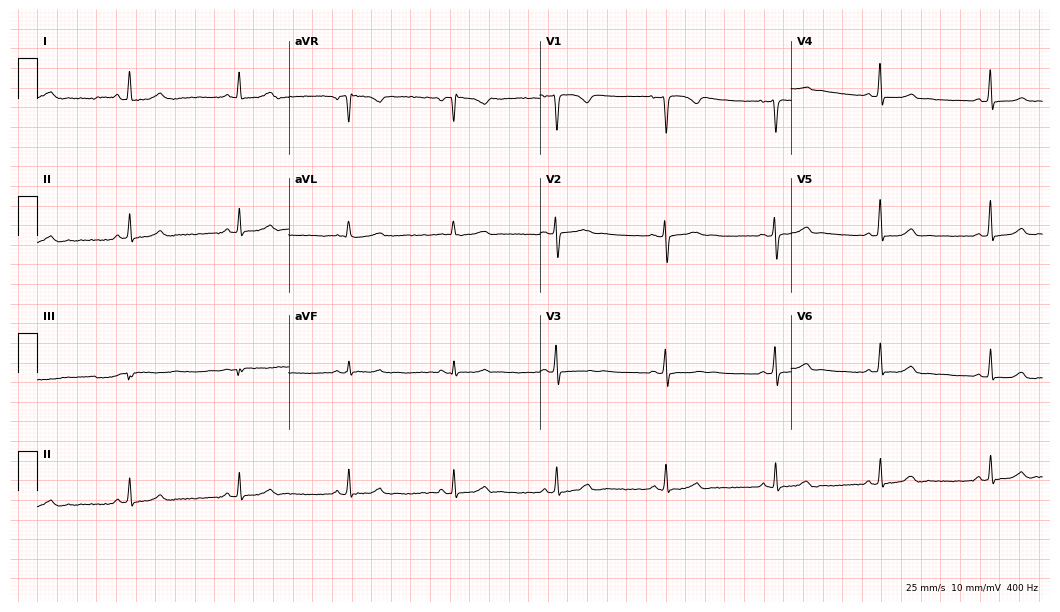
Resting 12-lead electrocardiogram. Patient: a 45-year-old female. None of these six findings is recorded: first-degree AV block, right bundle branch block, left bundle branch block, sinus bradycardia, atrial fibrillation, sinus tachycardia.